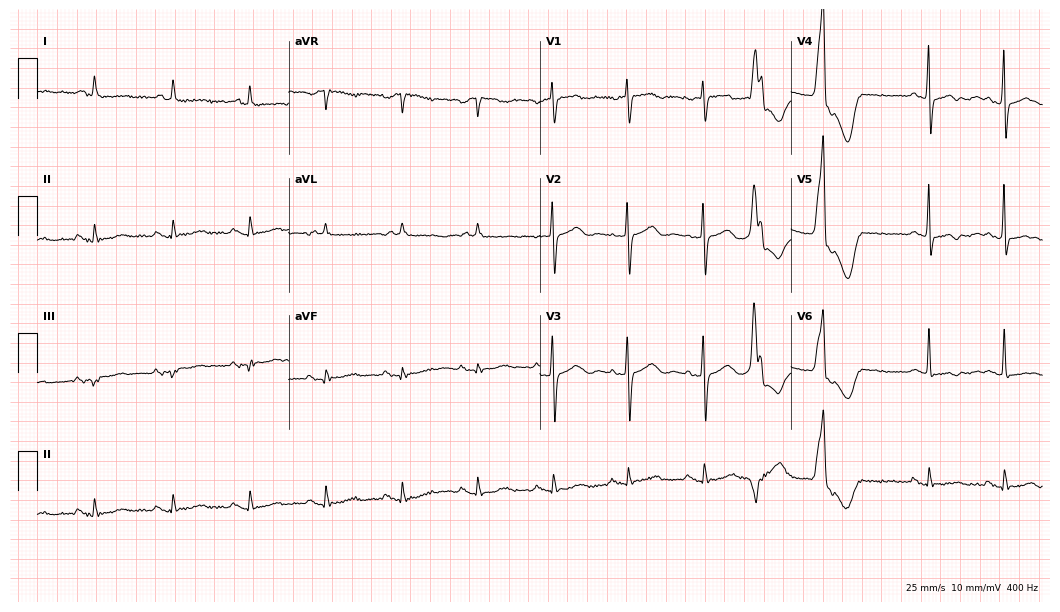
12-lead ECG from a 79-year-old female. No first-degree AV block, right bundle branch block (RBBB), left bundle branch block (LBBB), sinus bradycardia, atrial fibrillation (AF) or sinus tachycardia recorded for this tracing.